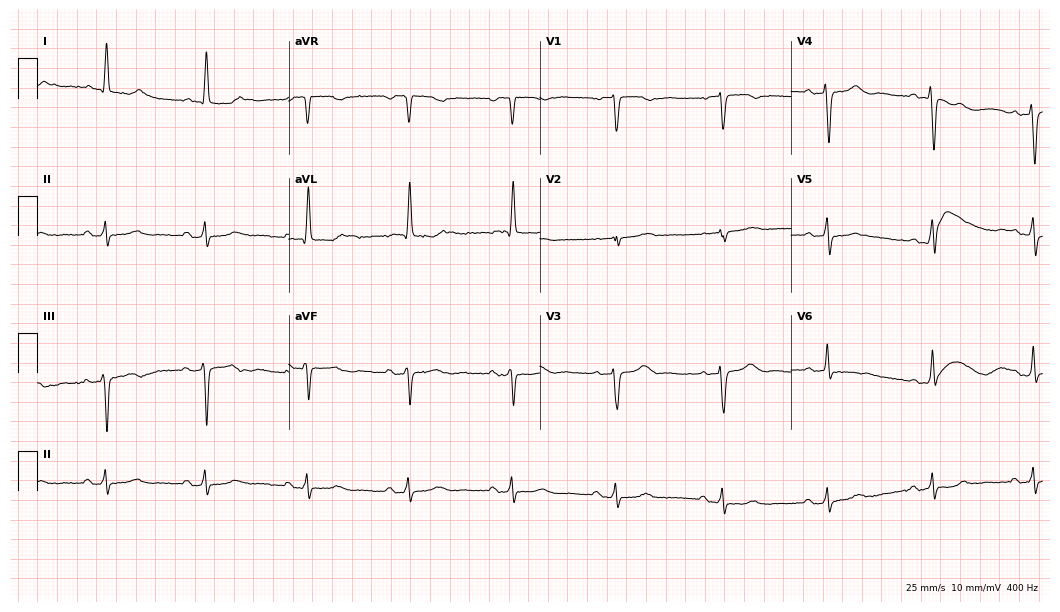
ECG — a female, 70 years old. Screened for six findings — first-degree AV block, right bundle branch block, left bundle branch block, sinus bradycardia, atrial fibrillation, sinus tachycardia — none is recorded. Only these six findings were labelled.